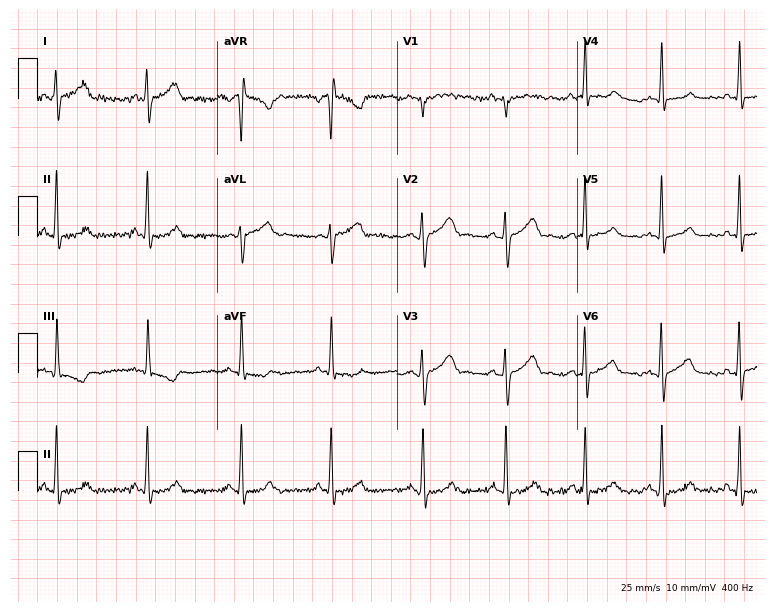
ECG (7.3-second recording at 400 Hz) — a 23-year-old man. Screened for six findings — first-degree AV block, right bundle branch block, left bundle branch block, sinus bradycardia, atrial fibrillation, sinus tachycardia — none is recorded.